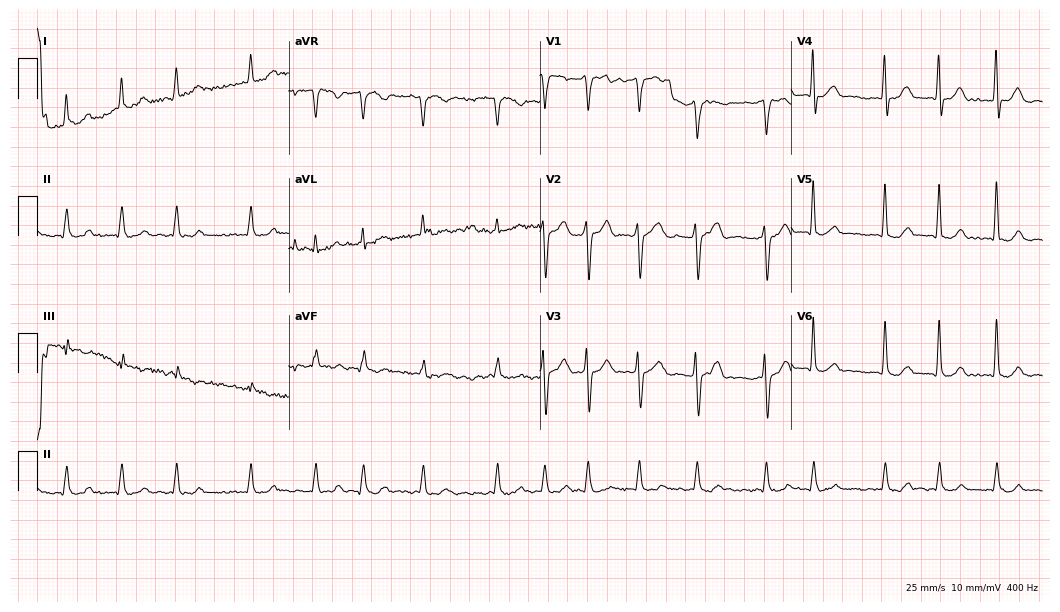
Standard 12-lead ECG recorded from a 73-year-old male patient. The tracing shows atrial fibrillation.